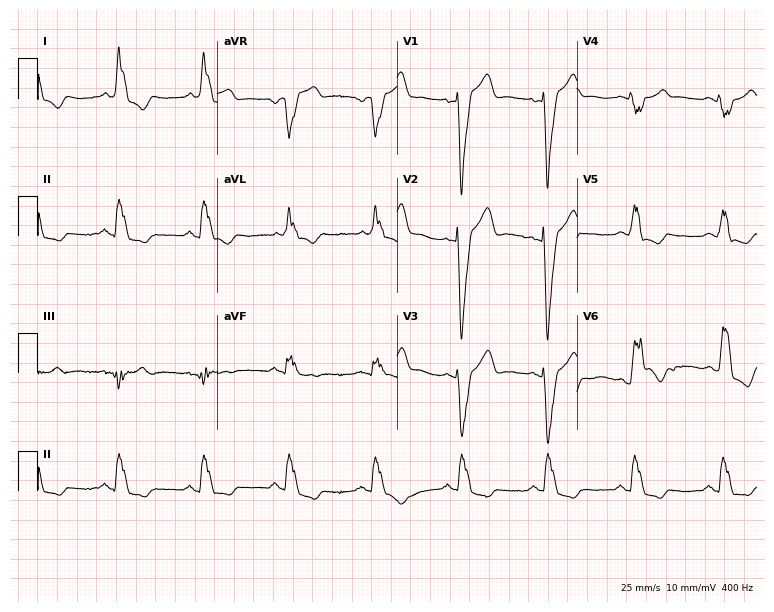
Standard 12-lead ECG recorded from a female, 68 years old (7.3-second recording at 400 Hz). The tracing shows left bundle branch block.